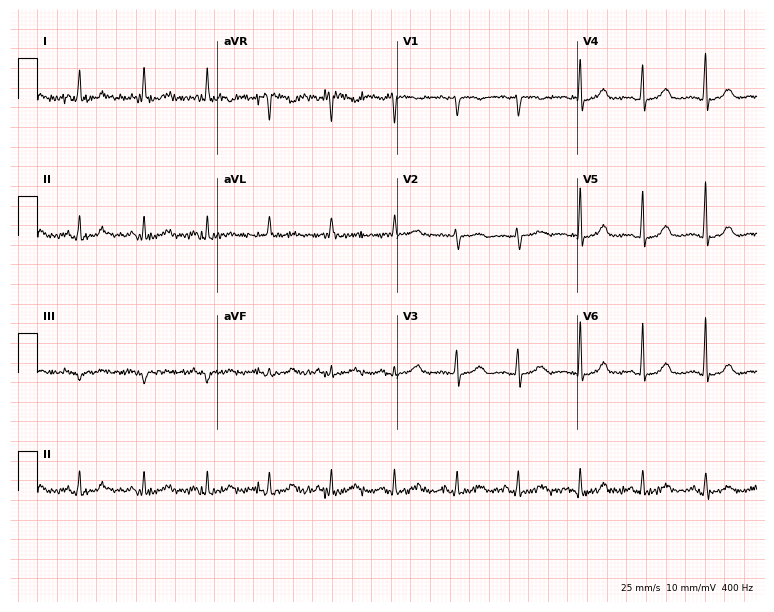
Electrocardiogram (7.3-second recording at 400 Hz), a 49-year-old woman. Overall reading on record: normal ECG.